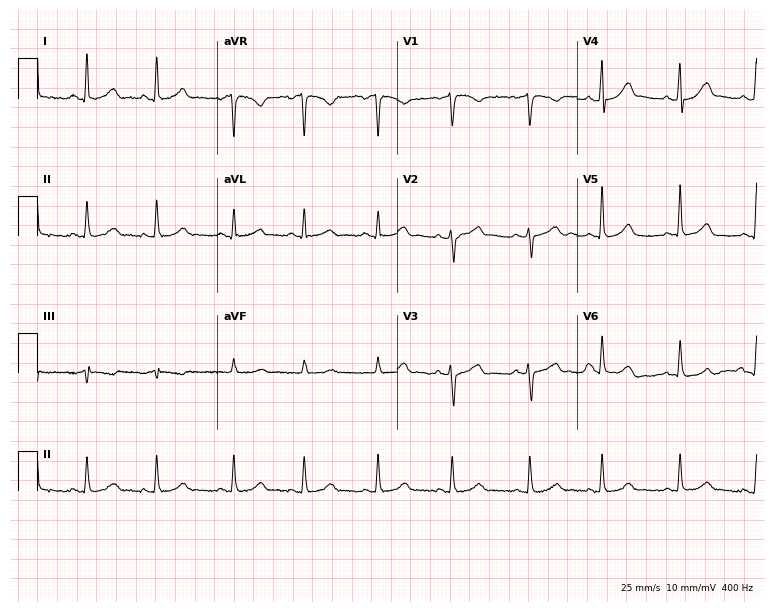
Resting 12-lead electrocardiogram (7.3-second recording at 400 Hz). Patient: a 34-year-old female. Read as a normal ECG.